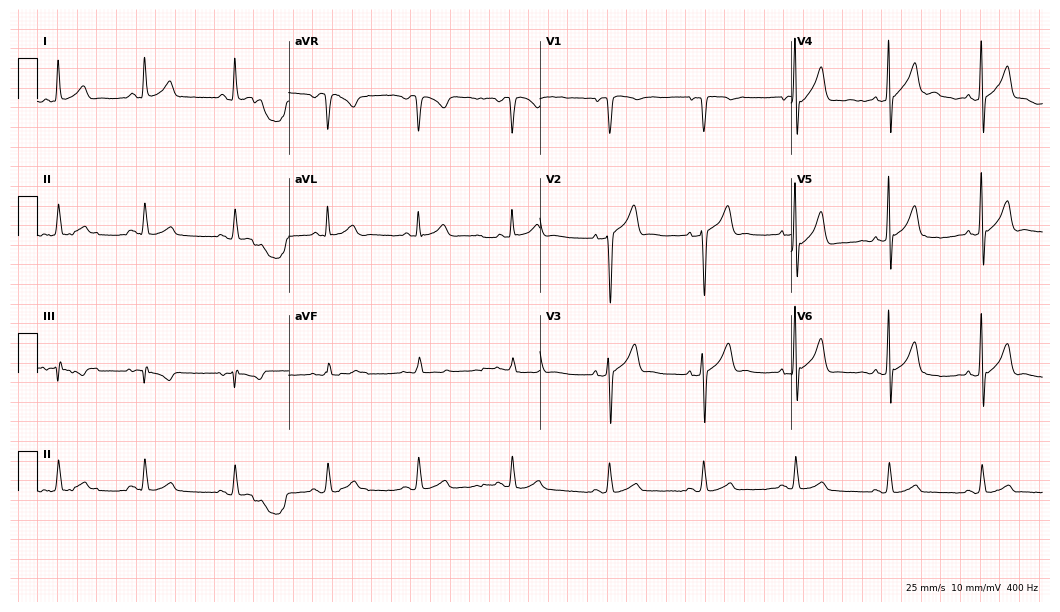
12-lead ECG from a 66-year-old male. No first-degree AV block, right bundle branch block, left bundle branch block, sinus bradycardia, atrial fibrillation or sinus tachycardia recorded for this tracing.